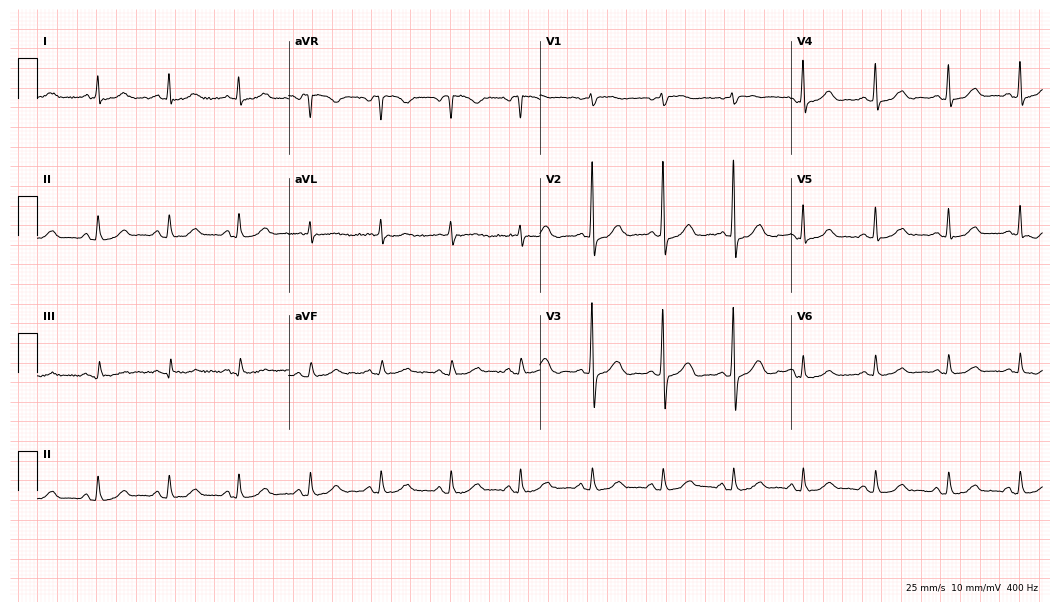
ECG (10.2-second recording at 400 Hz) — a 55-year-old woman. Labelled as a normal ECG.